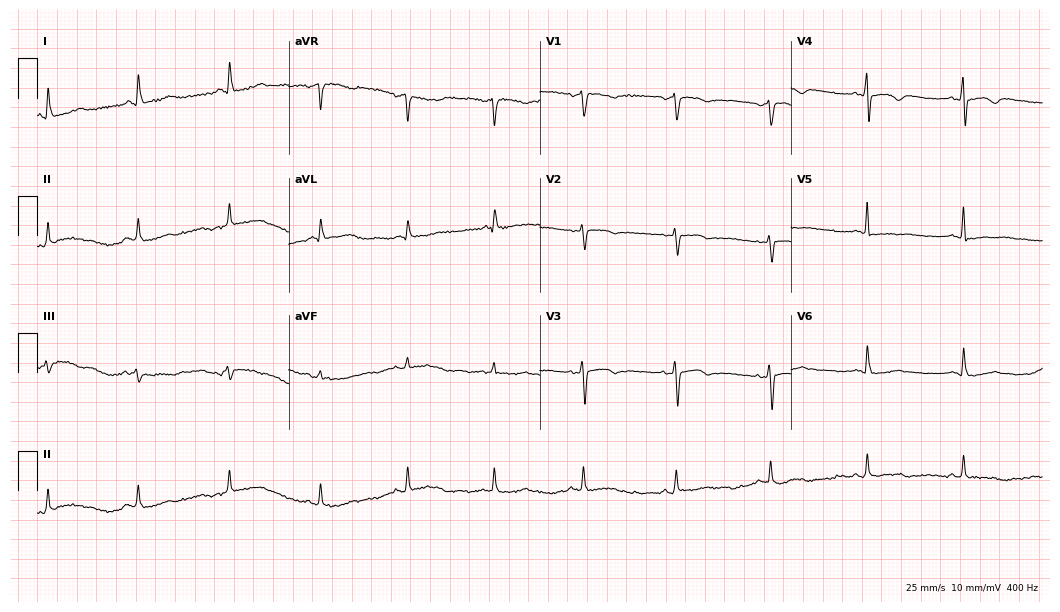
Resting 12-lead electrocardiogram (10.2-second recording at 400 Hz). Patient: a 75-year-old female. None of these six findings is recorded: first-degree AV block, right bundle branch block, left bundle branch block, sinus bradycardia, atrial fibrillation, sinus tachycardia.